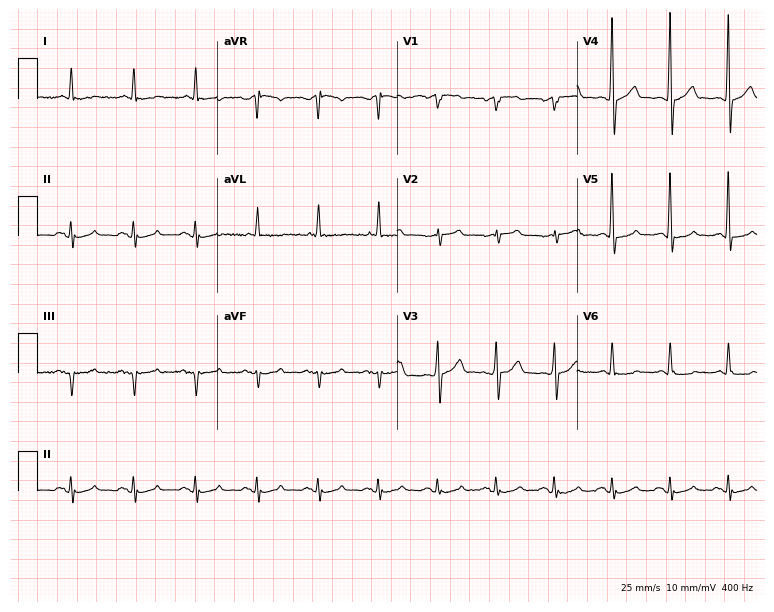
12-lead ECG from a 57-year-old man. Labelled as a normal ECG.